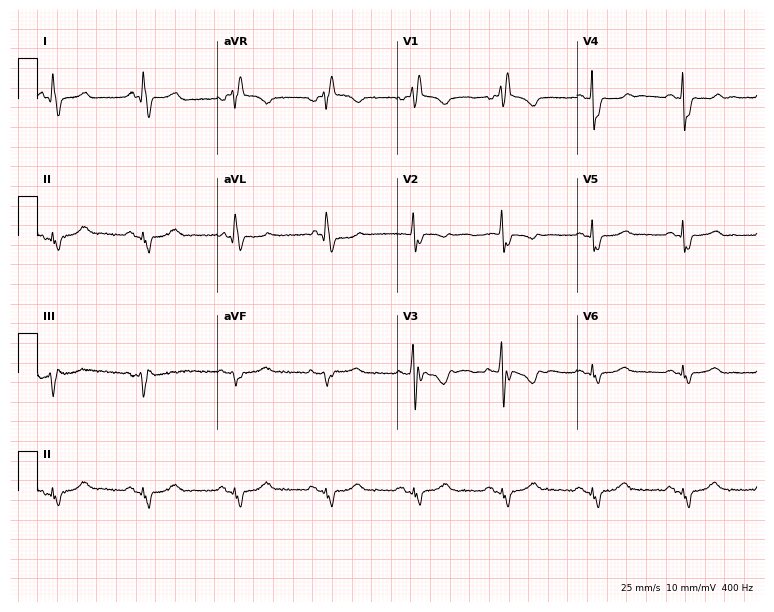
Resting 12-lead electrocardiogram. Patient: a female, 60 years old. The tracing shows right bundle branch block.